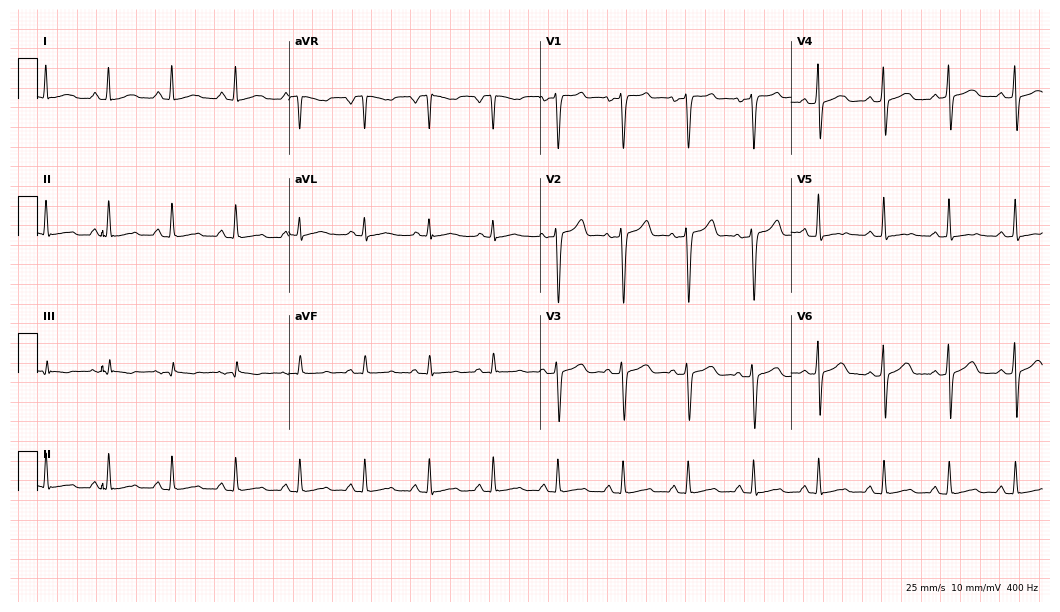
Electrocardiogram (10.2-second recording at 400 Hz), a 23-year-old female. Overall reading on record: normal ECG.